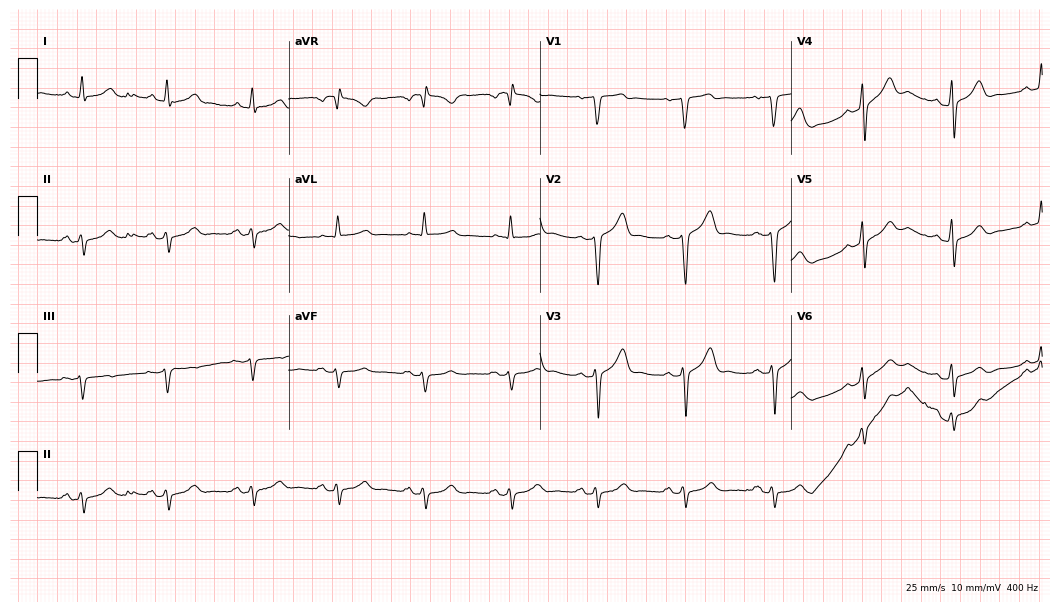
Standard 12-lead ECG recorded from a 66-year-old male. None of these six findings is recorded: first-degree AV block, right bundle branch block, left bundle branch block, sinus bradycardia, atrial fibrillation, sinus tachycardia.